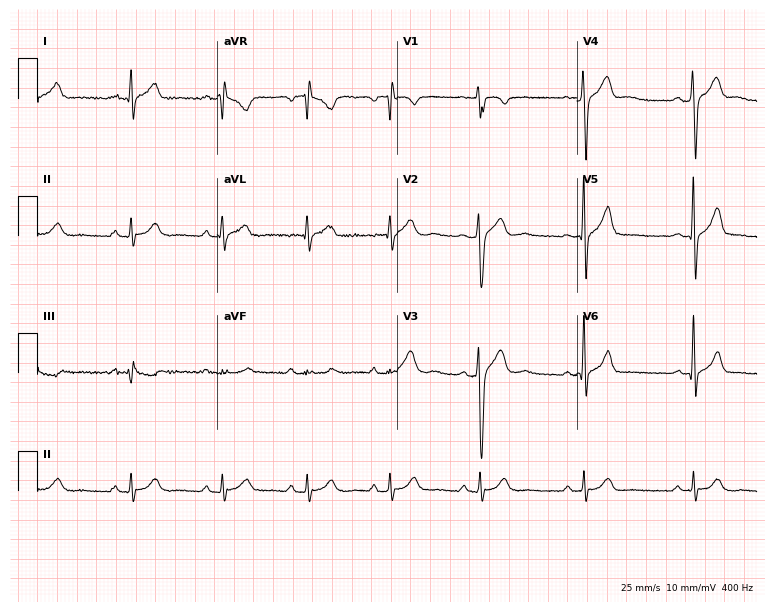
Resting 12-lead electrocardiogram (7.3-second recording at 400 Hz). Patient: a man, 28 years old. None of these six findings is recorded: first-degree AV block, right bundle branch block, left bundle branch block, sinus bradycardia, atrial fibrillation, sinus tachycardia. Findings outside these six are not listed.